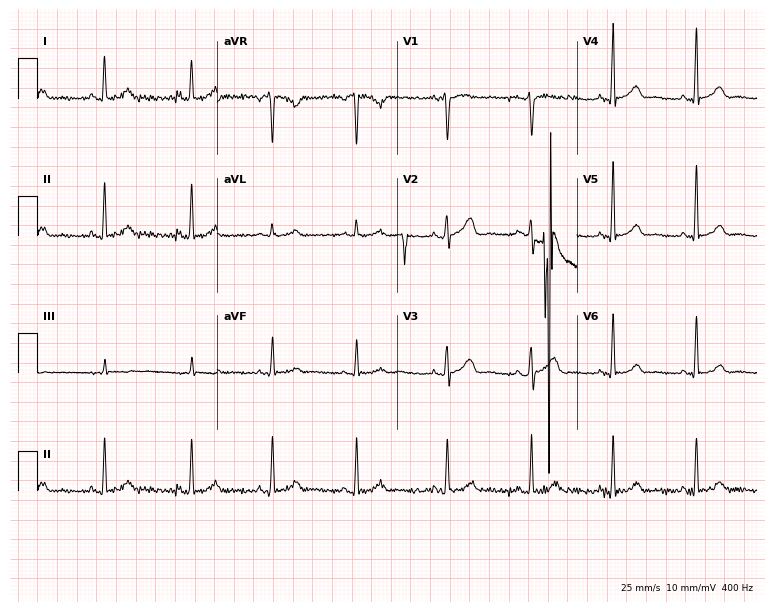
ECG — a 35-year-old female patient. Screened for six findings — first-degree AV block, right bundle branch block, left bundle branch block, sinus bradycardia, atrial fibrillation, sinus tachycardia — none is recorded. Other findings, if any, are not listed.